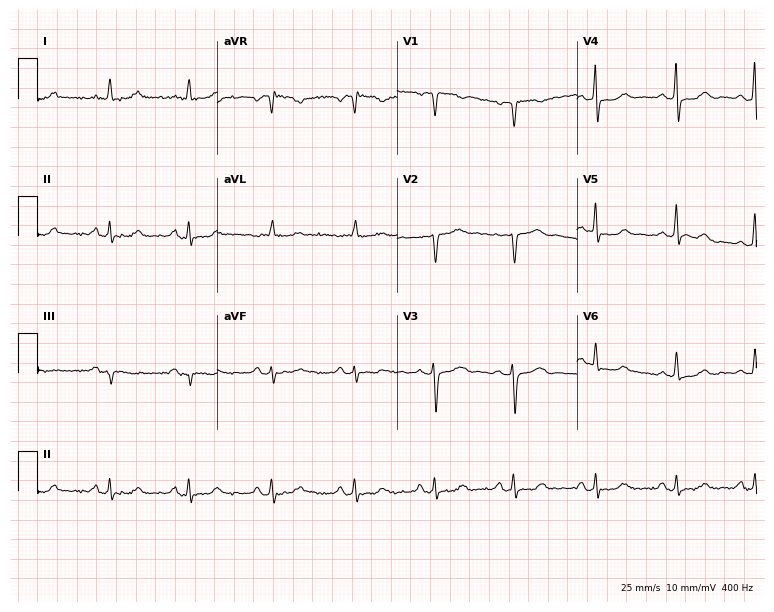
12-lead ECG from a 48-year-old female patient. Screened for six findings — first-degree AV block, right bundle branch block (RBBB), left bundle branch block (LBBB), sinus bradycardia, atrial fibrillation (AF), sinus tachycardia — none is recorded. Other findings, if any, are not listed.